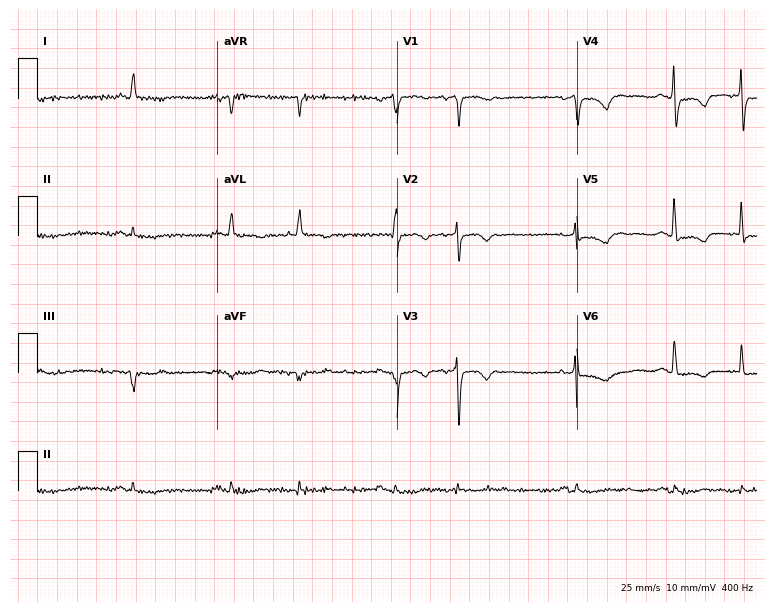
12-lead ECG from a female patient, 78 years old. Screened for six findings — first-degree AV block, right bundle branch block (RBBB), left bundle branch block (LBBB), sinus bradycardia, atrial fibrillation (AF), sinus tachycardia — none is recorded.